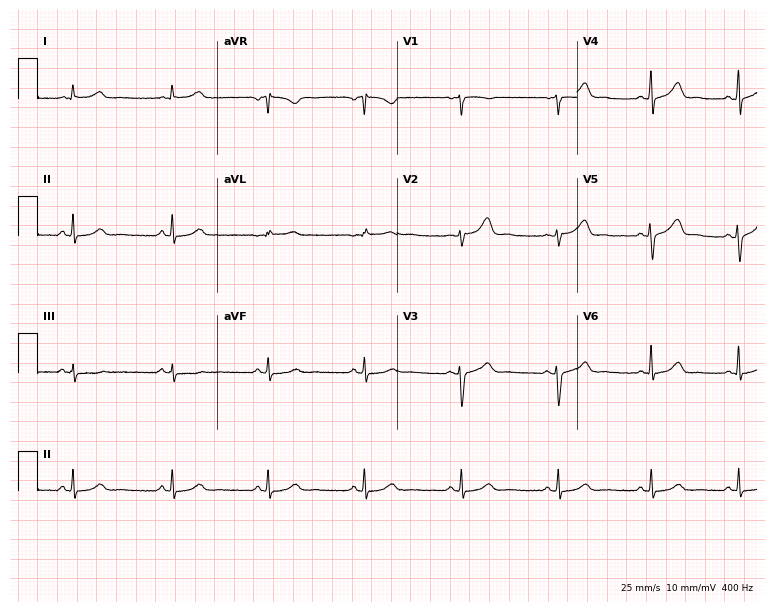
Resting 12-lead electrocardiogram. Patient: a 24-year-old woman. Read as a normal ECG.